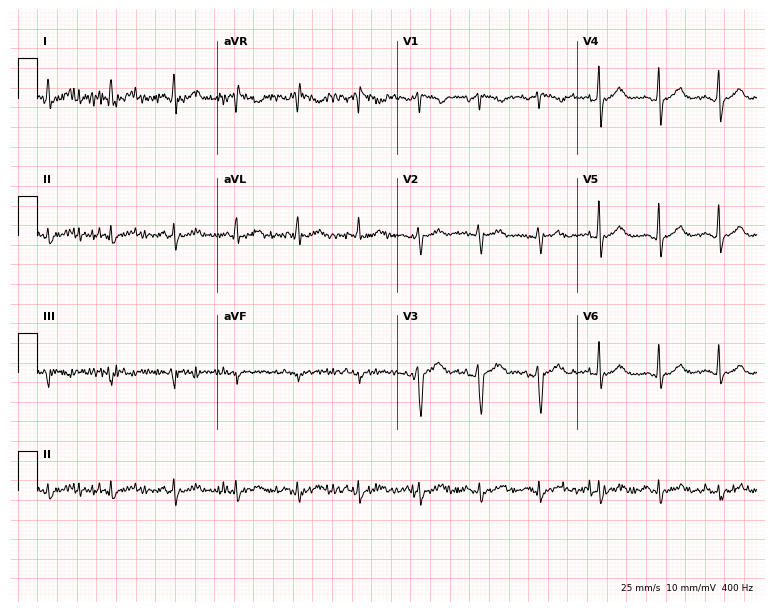
ECG (7.3-second recording at 400 Hz) — a 39-year-old male. Screened for six findings — first-degree AV block, right bundle branch block, left bundle branch block, sinus bradycardia, atrial fibrillation, sinus tachycardia — none is recorded.